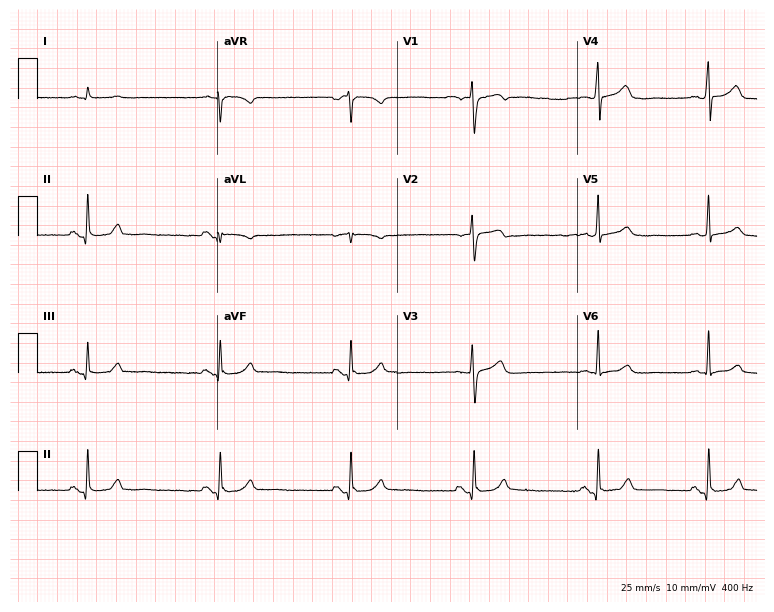
Standard 12-lead ECG recorded from a 61-year-old male patient. None of these six findings is recorded: first-degree AV block, right bundle branch block, left bundle branch block, sinus bradycardia, atrial fibrillation, sinus tachycardia. Findings outside these six are not listed.